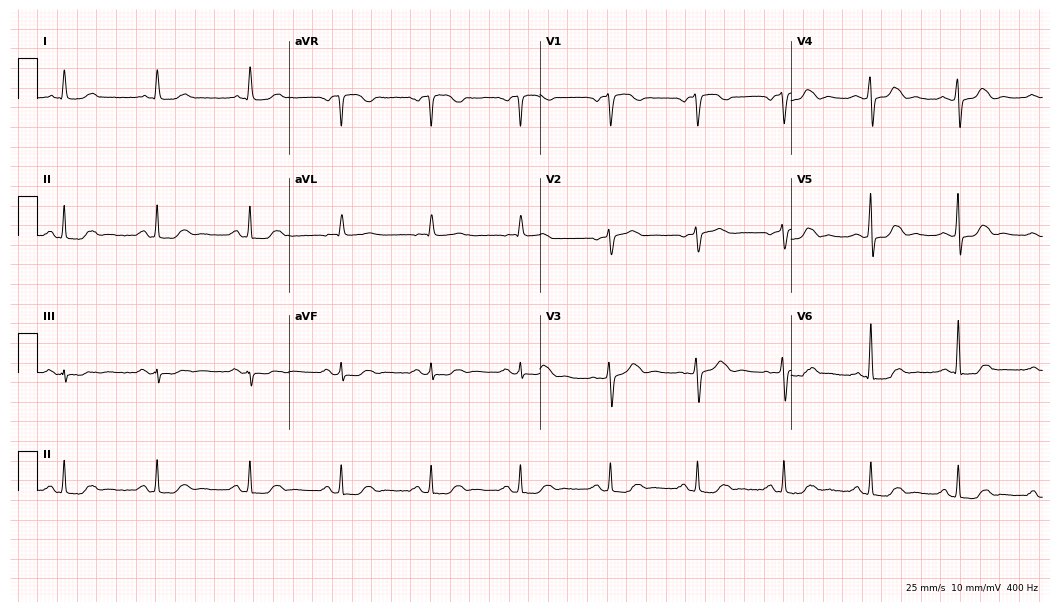
Resting 12-lead electrocardiogram (10.2-second recording at 400 Hz). Patient: a man, 80 years old. None of these six findings is recorded: first-degree AV block, right bundle branch block (RBBB), left bundle branch block (LBBB), sinus bradycardia, atrial fibrillation (AF), sinus tachycardia.